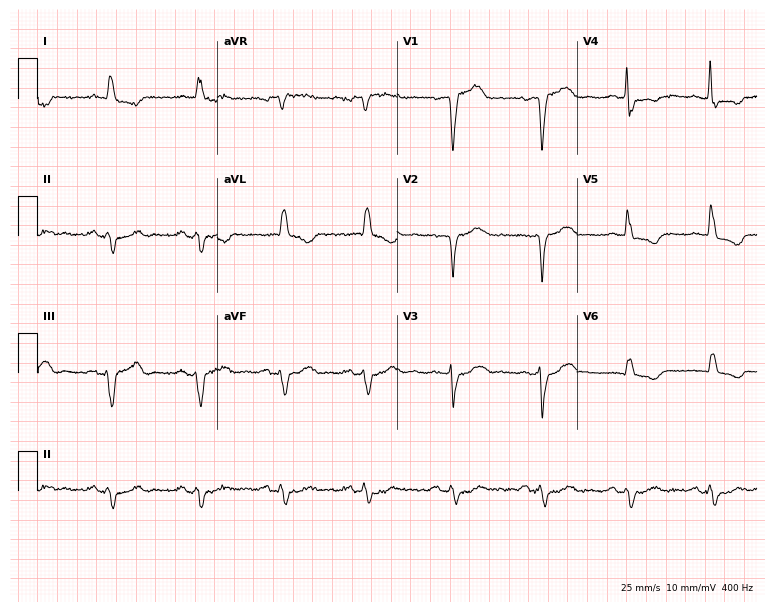
12-lead ECG from a male patient, 75 years old. Findings include left bundle branch block.